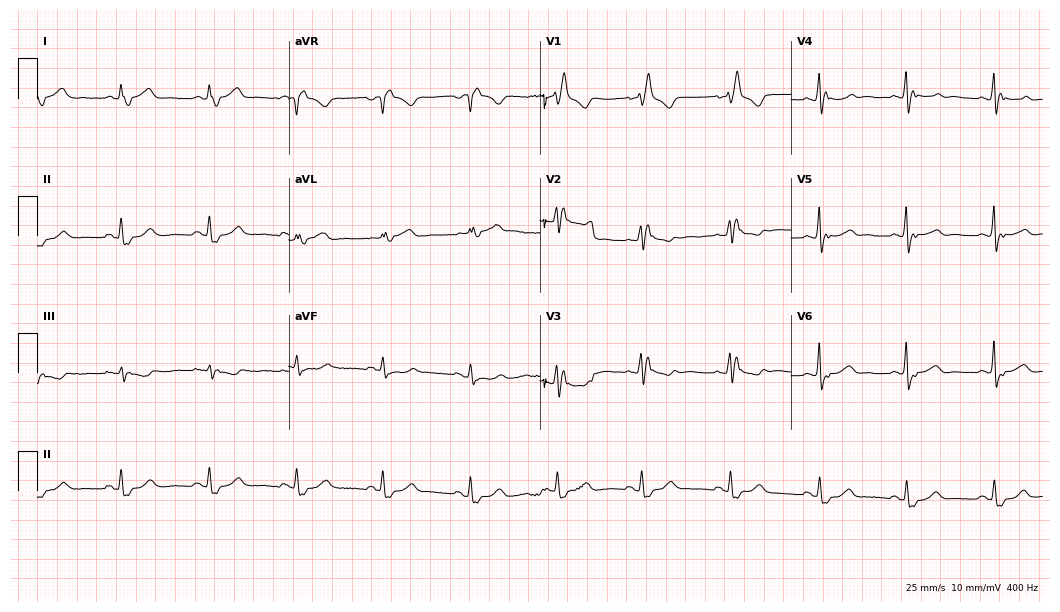
12-lead ECG from a woman, 69 years old. Shows right bundle branch block (RBBB).